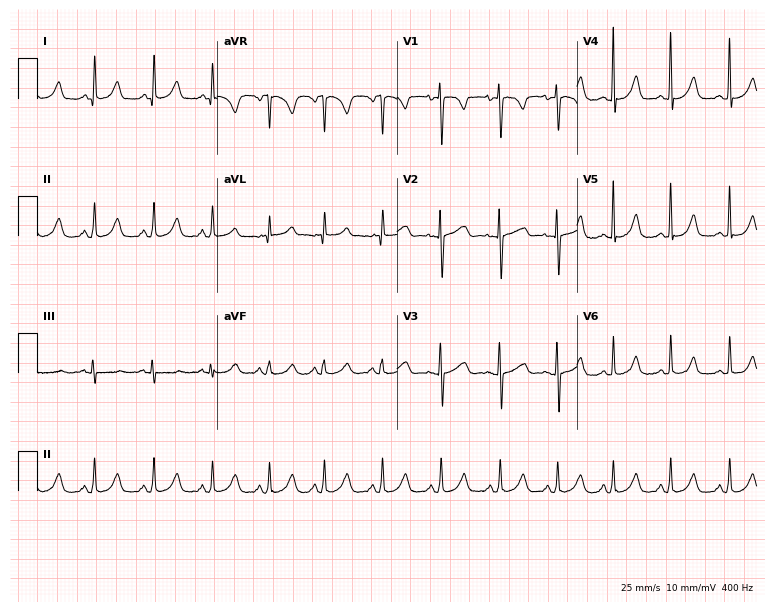
12-lead ECG from a 32-year-old woman. Screened for six findings — first-degree AV block, right bundle branch block (RBBB), left bundle branch block (LBBB), sinus bradycardia, atrial fibrillation (AF), sinus tachycardia — none is recorded.